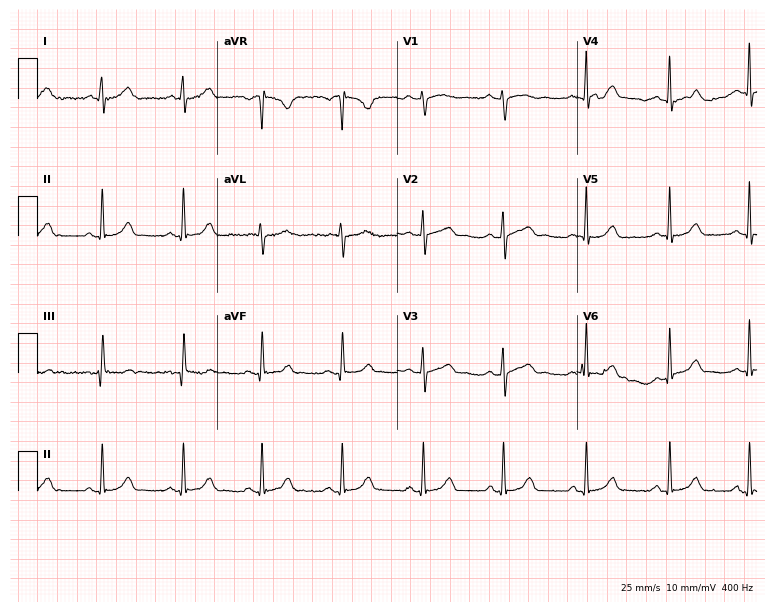
ECG — a 28-year-old woman. Labelled as a normal ECG.